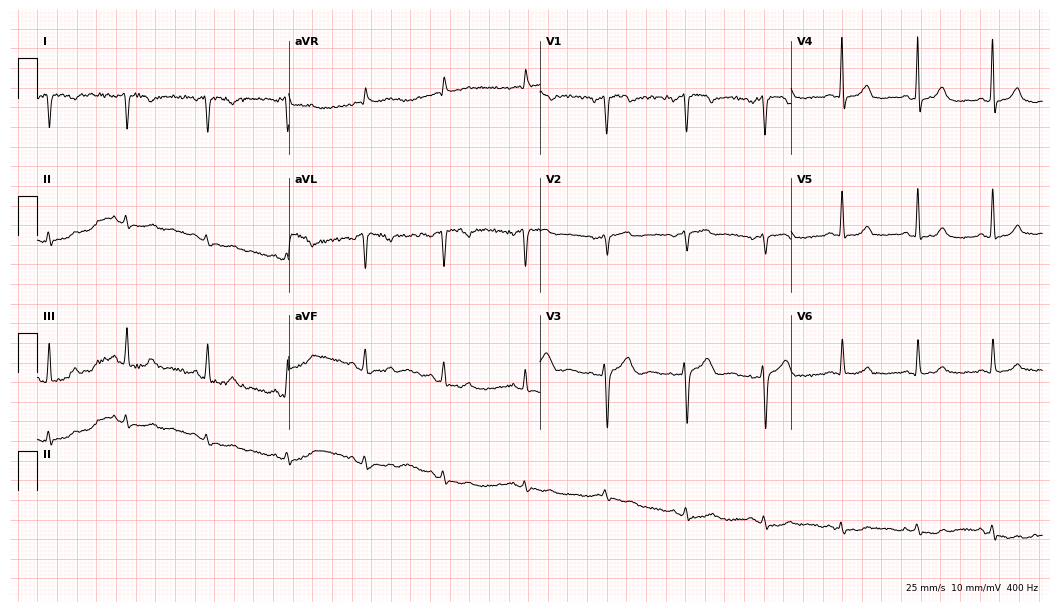
12-lead ECG from a 55-year-old female patient. Screened for six findings — first-degree AV block, right bundle branch block, left bundle branch block, sinus bradycardia, atrial fibrillation, sinus tachycardia — none is recorded. Other findings, if any, are not listed.